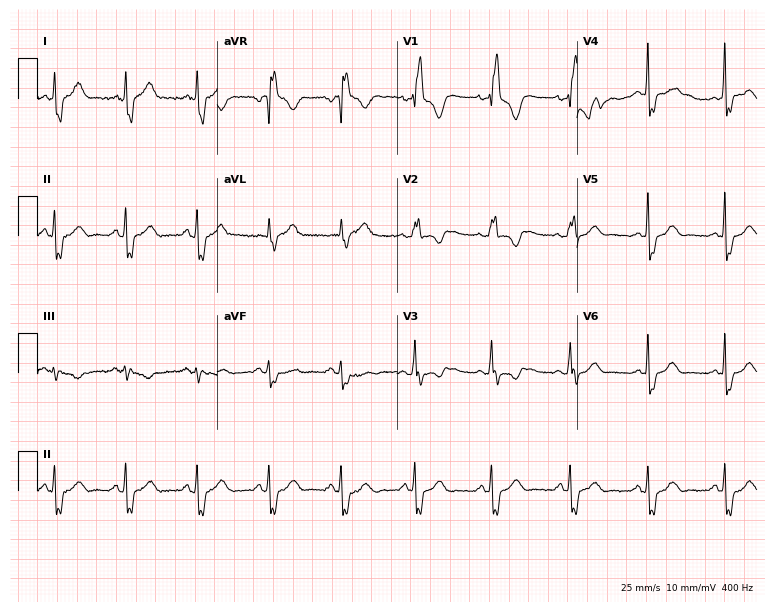
Standard 12-lead ECG recorded from a 24-year-old female patient. The tracing shows right bundle branch block (RBBB).